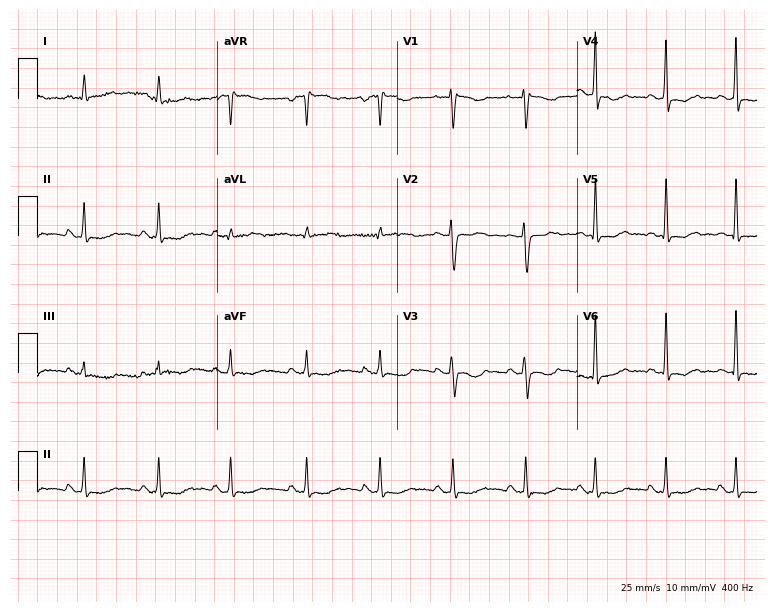
12-lead ECG (7.3-second recording at 400 Hz) from a female patient, 28 years old. Screened for six findings — first-degree AV block, right bundle branch block, left bundle branch block, sinus bradycardia, atrial fibrillation, sinus tachycardia — none is recorded. Only these six findings were labelled.